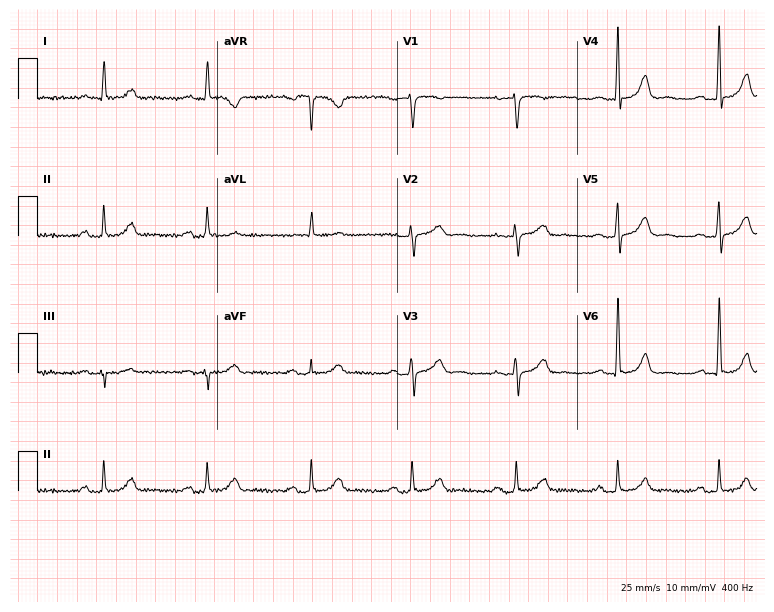
12-lead ECG from a 76-year-old woman. Screened for six findings — first-degree AV block, right bundle branch block, left bundle branch block, sinus bradycardia, atrial fibrillation, sinus tachycardia — none is recorded.